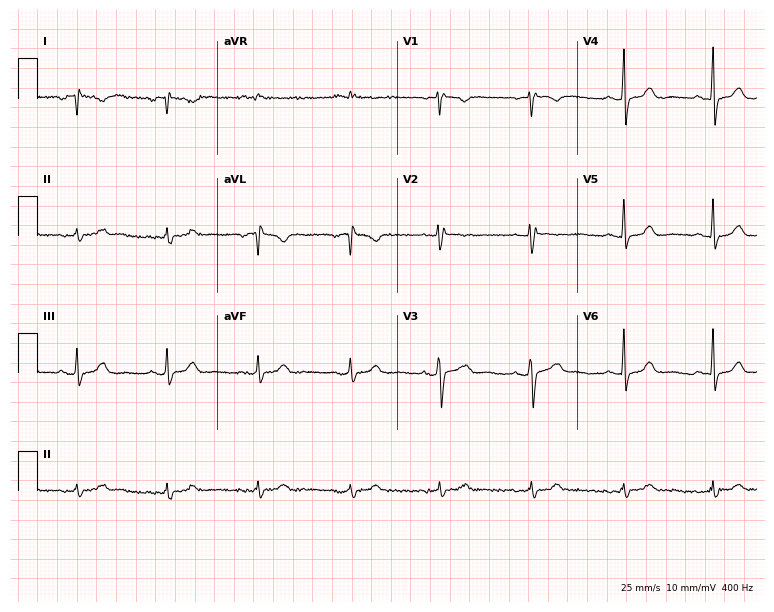
12-lead ECG (7.3-second recording at 400 Hz) from a woman, 52 years old. Screened for six findings — first-degree AV block, right bundle branch block, left bundle branch block, sinus bradycardia, atrial fibrillation, sinus tachycardia — none is recorded. Other findings, if any, are not listed.